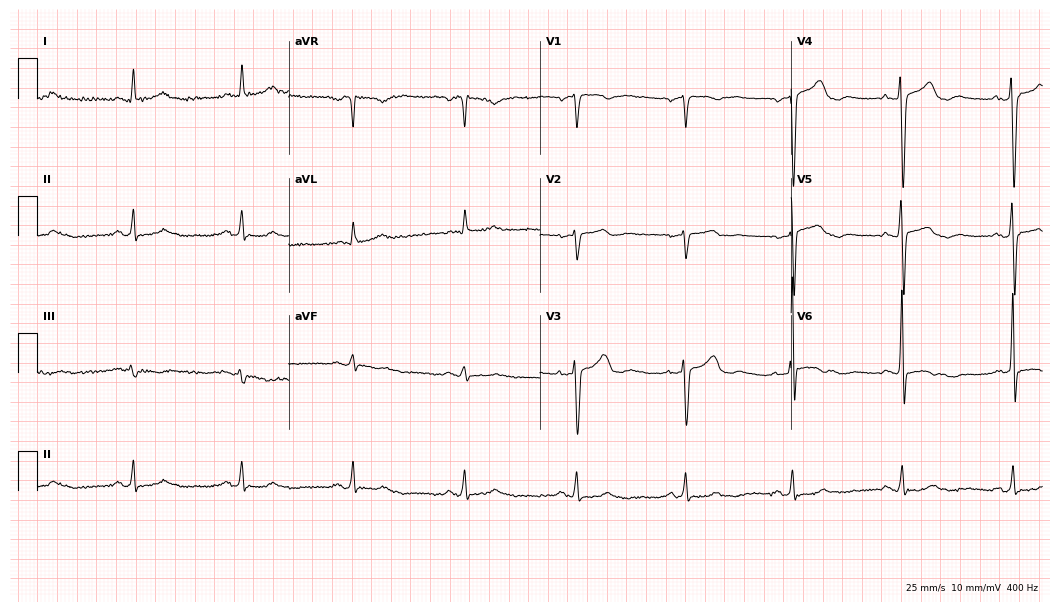
Electrocardiogram, a 49-year-old female patient. Of the six screened findings (first-degree AV block, right bundle branch block, left bundle branch block, sinus bradycardia, atrial fibrillation, sinus tachycardia), none is recorded. Findings outside these six are not listed.